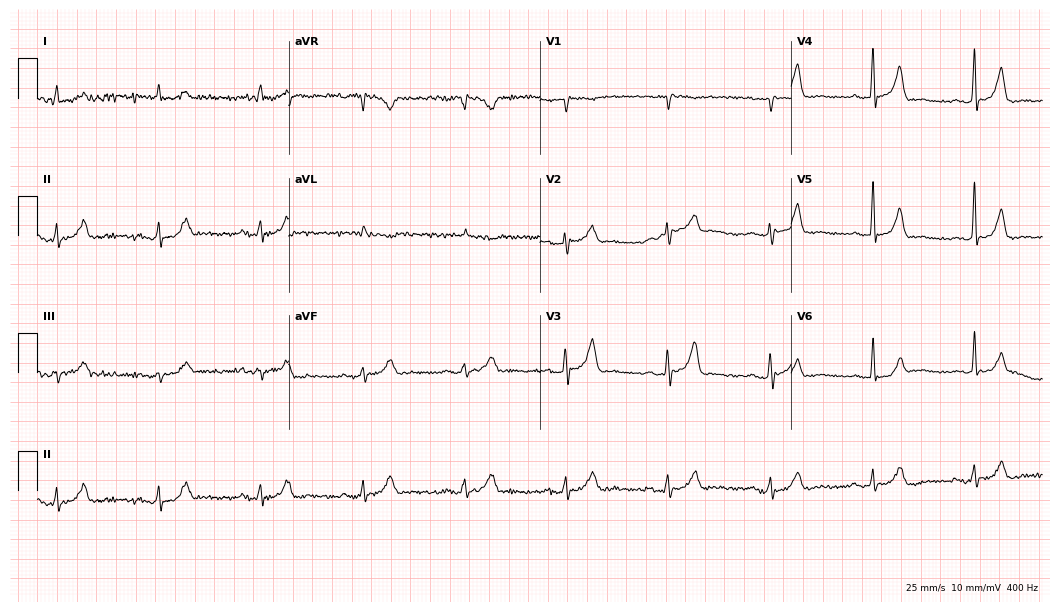
12-lead ECG (10.2-second recording at 400 Hz) from an 80-year-old male. Labelled as a normal ECG.